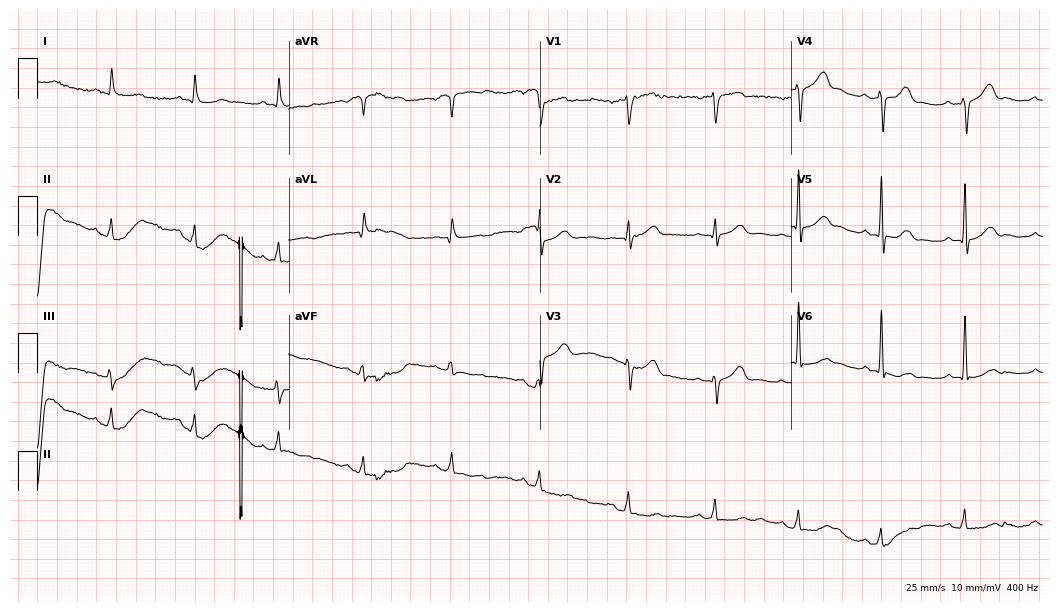
Resting 12-lead electrocardiogram (10.2-second recording at 400 Hz). Patient: a 70-year-old male. Read as a normal ECG.